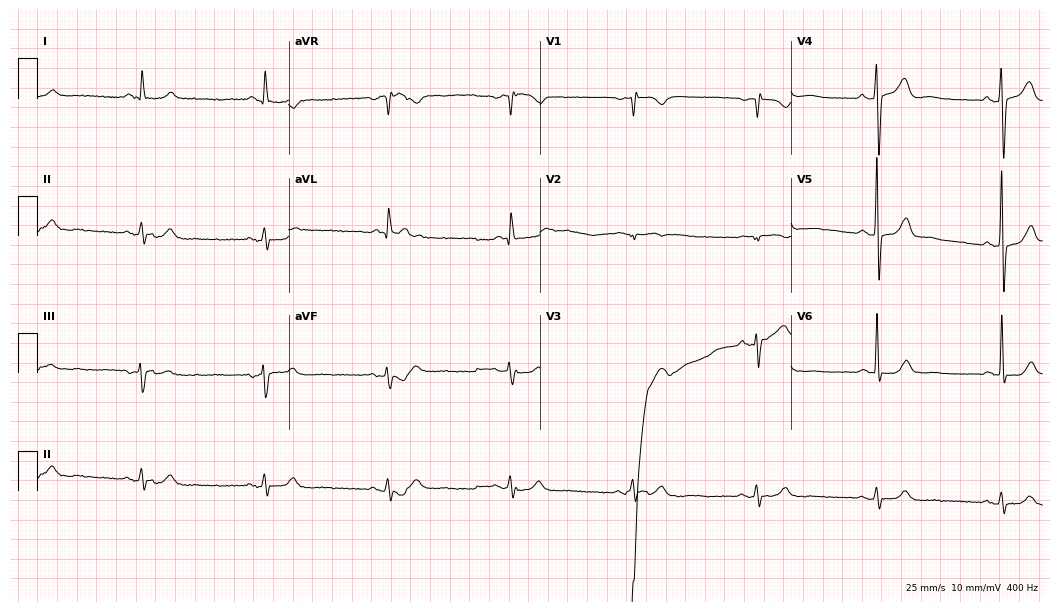
ECG (10.2-second recording at 400 Hz) — a male, 73 years old. Findings include sinus bradycardia (a sinus rate of 50 beats per minute or less).